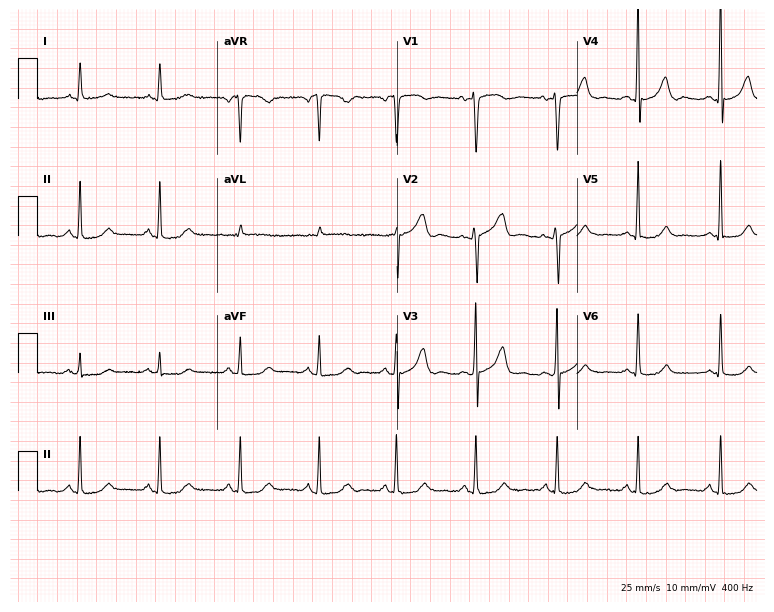
ECG — a 57-year-old woman. Labelled as a normal ECG.